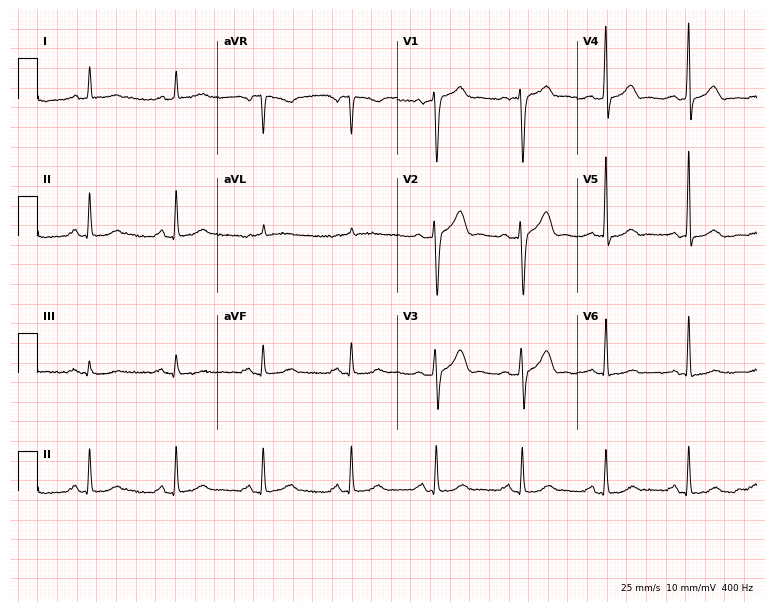
12-lead ECG from a 56-year-old male patient. Labelled as a normal ECG.